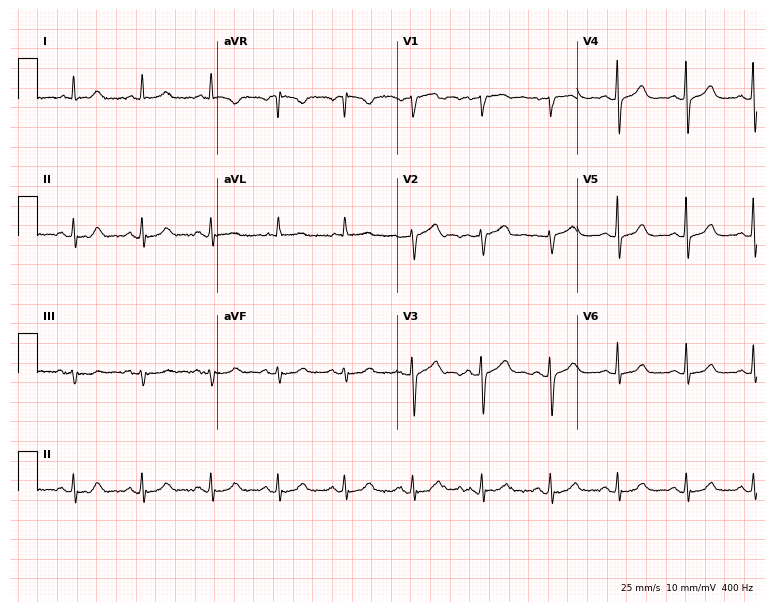
Electrocardiogram (7.3-second recording at 400 Hz), a female patient, 65 years old. Overall reading on record: normal ECG.